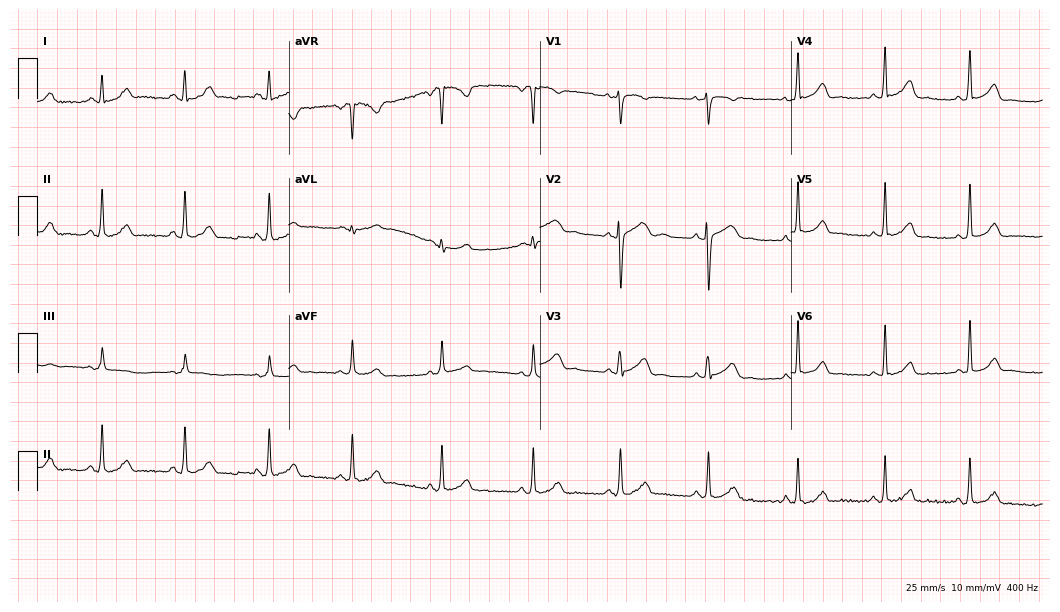
Electrocardiogram, a female, 23 years old. Of the six screened findings (first-degree AV block, right bundle branch block, left bundle branch block, sinus bradycardia, atrial fibrillation, sinus tachycardia), none is recorded. Only these six findings were labelled.